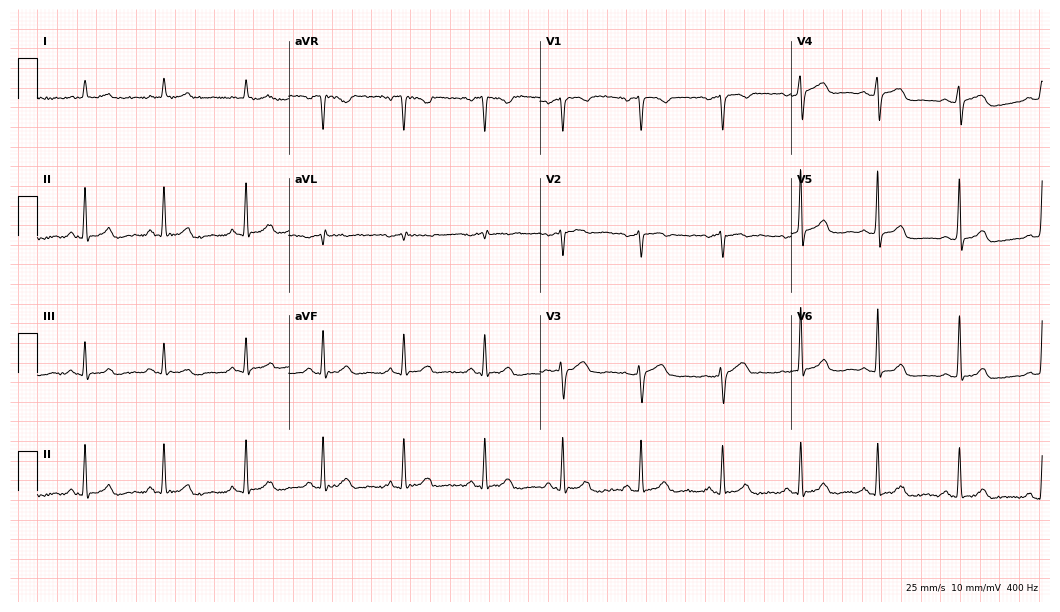
12-lead ECG from a female, 65 years old (10.2-second recording at 400 Hz). Recorded interpretation: within normal limits.